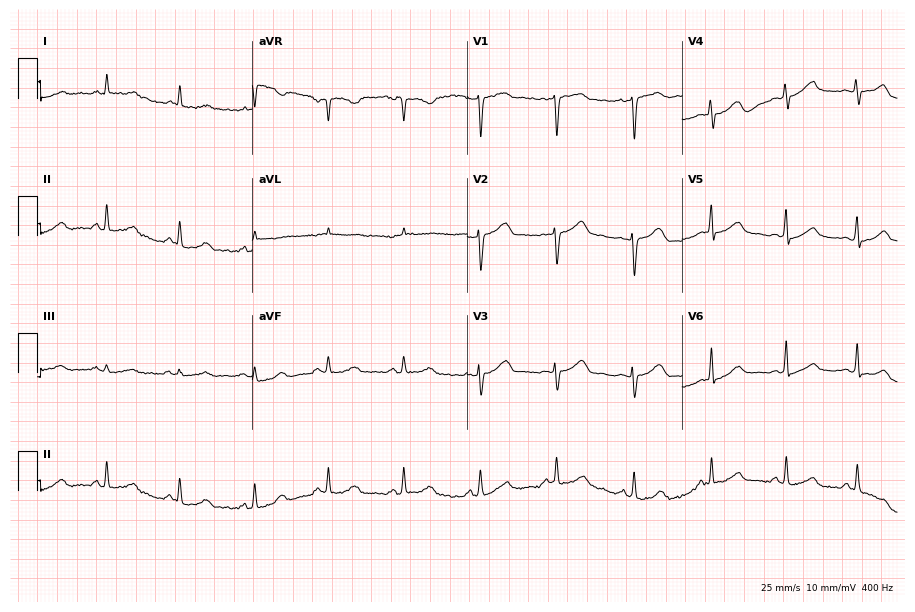
ECG (8.8-second recording at 400 Hz) — a woman, 40 years old. Labelled as a normal ECG.